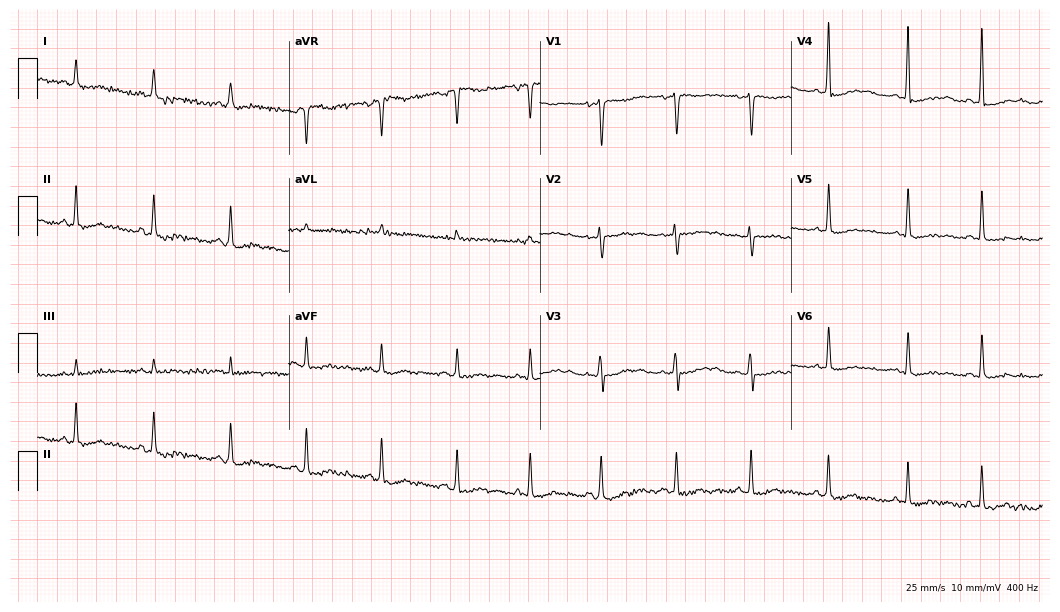
Electrocardiogram, a female, 39 years old. Of the six screened findings (first-degree AV block, right bundle branch block, left bundle branch block, sinus bradycardia, atrial fibrillation, sinus tachycardia), none is recorded.